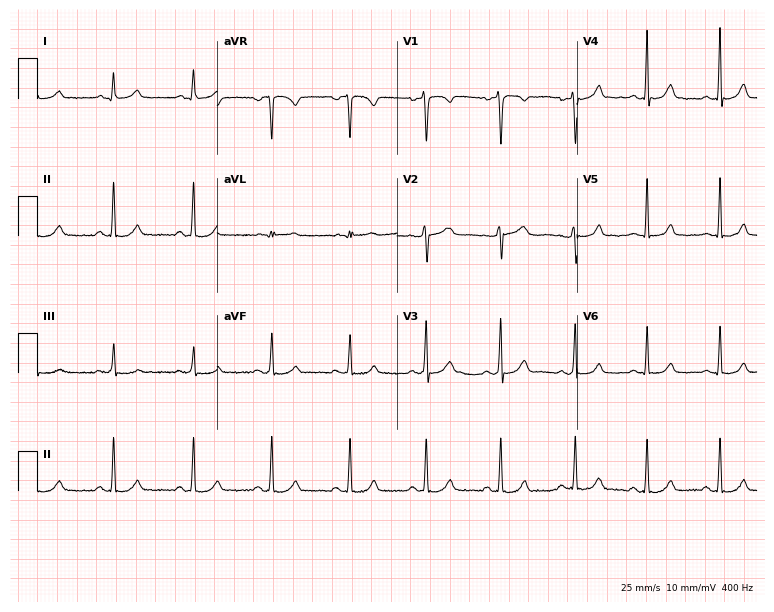
Resting 12-lead electrocardiogram (7.3-second recording at 400 Hz). Patient: a 44-year-old female. Read as a normal ECG.